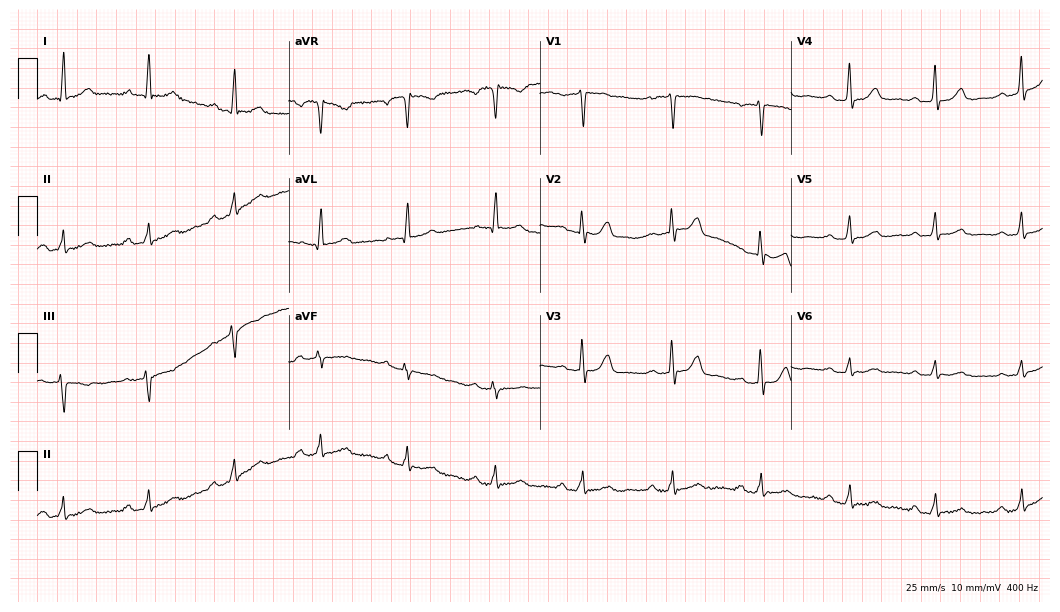
Resting 12-lead electrocardiogram (10.2-second recording at 400 Hz). Patient: a 54-year-old woman. Read as a normal ECG.